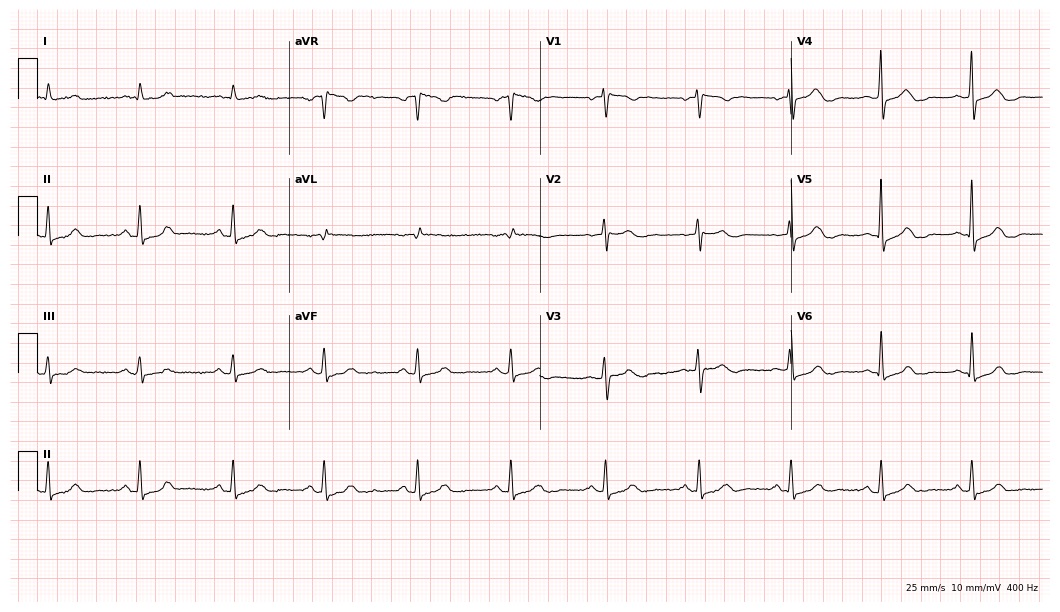
Resting 12-lead electrocardiogram (10.2-second recording at 400 Hz). Patient: a female, 82 years old. Read as a normal ECG.